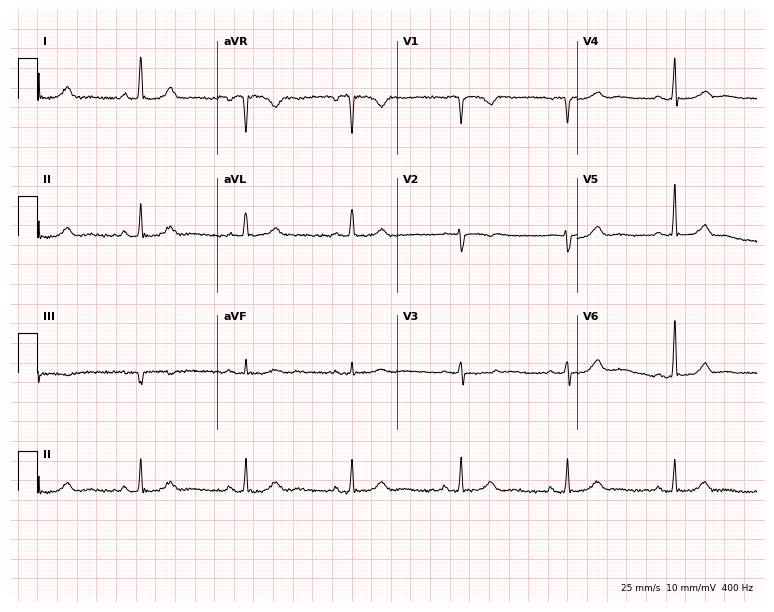
12-lead ECG from a female patient, 58 years old (7.3-second recording at 400 Hz). No first-degree AV block, right bundle branch block, left bundle branch block, sinus bradycardia, atrial fibrillation or sinus tachycardia recorded for this tracing. Findings outside these six are not listed.